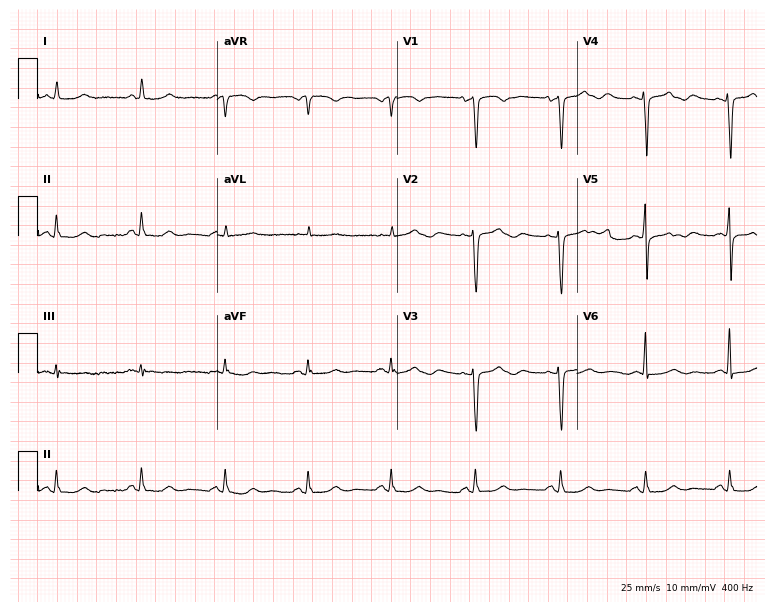
Resting 12-lead electrocardiogram. Patient: a woman, 78 years old. None of these six findings is recorded: first-degree AV block, right bundle branch block, left bundle branch block, sinus bradycardia, atrial fibrillation, sinus tachycardia. Only these six findings were labelled.